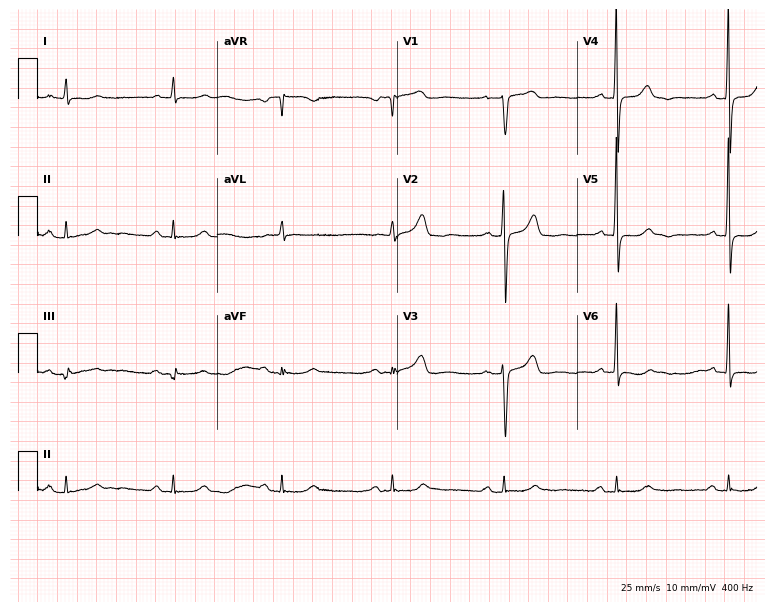
Standard 12-lead ECG recorded from a female, 76 years old. Read as a normal ECG.